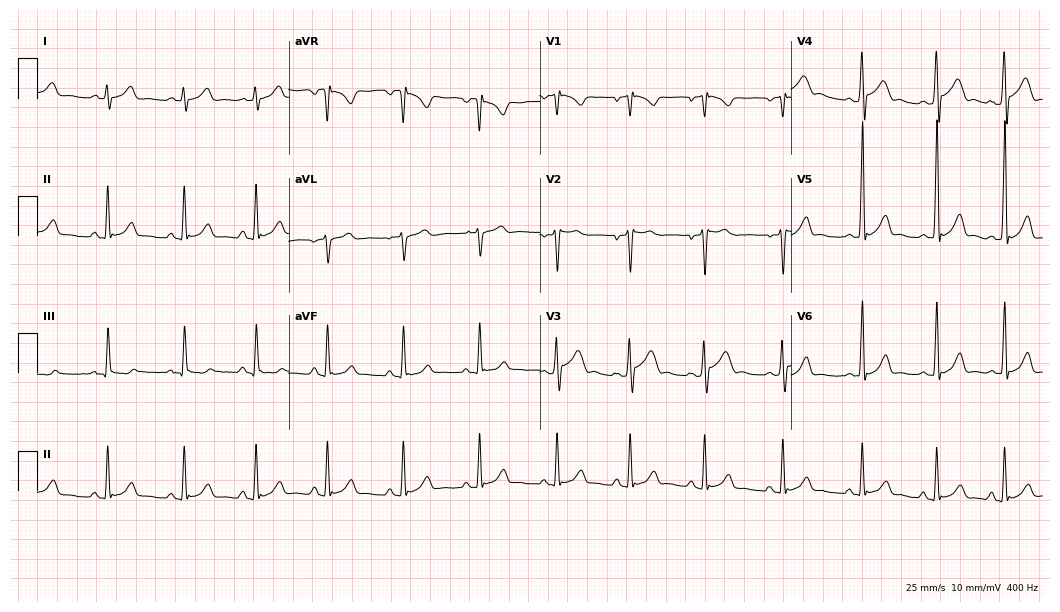
Resting 12-lead electrocardiogram. Patient: a 23-year-old male. Read as a normal ECG.